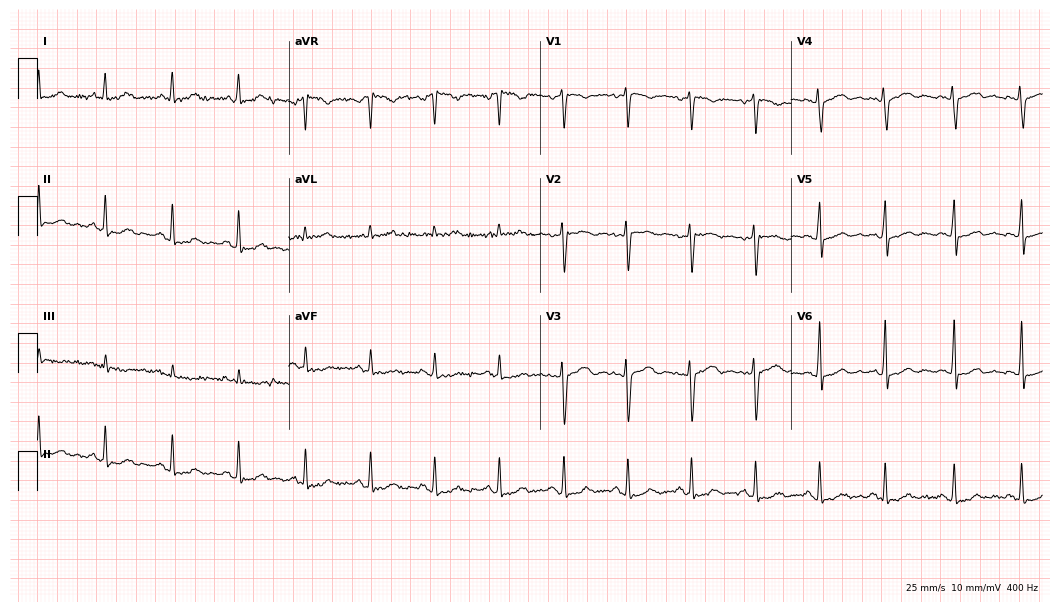
Standard 12-lead ECG recorded from a 27-year-old woman. None of these six findings is recorded: first-degree AV block, right bundle branch block (RBBB), left bundle branch block (LBBB), sinus bradycardia, atrial fibrillation (AF), sinus tachycardia. Only these six findings were labelled.